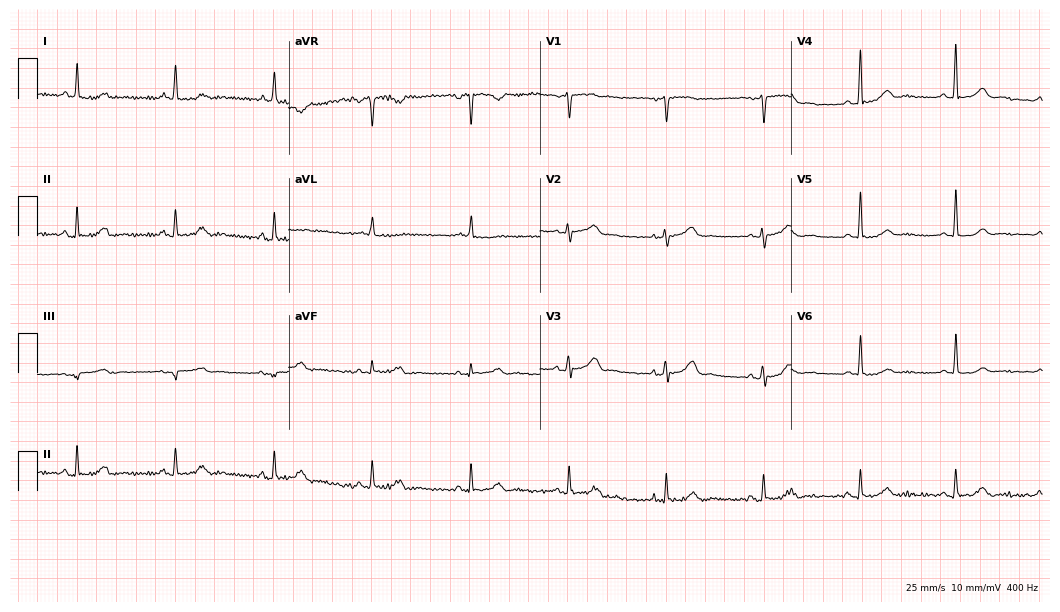
Electrocardiogram (10.2-second recording at 400 Hz), a female patient, 61 years old. Overall reading on record: normal ECG.